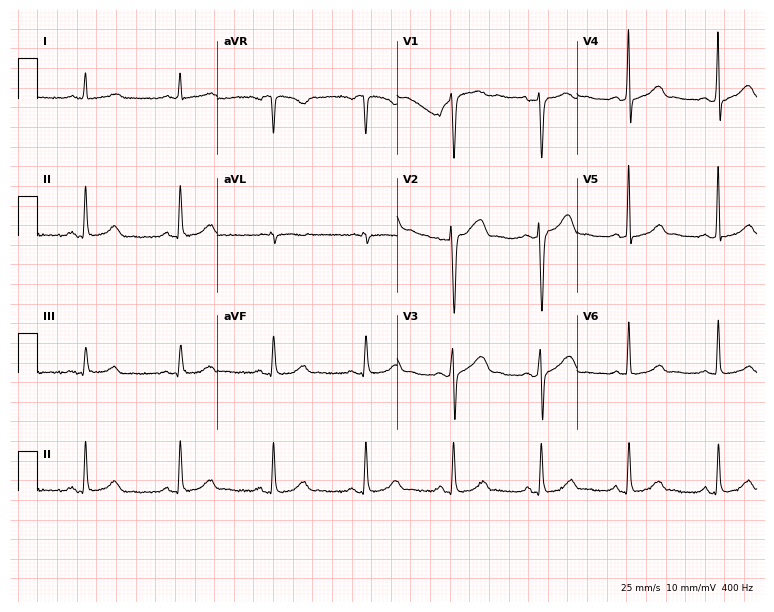
ECG — a female patient, 60 years old. Labelled as a normal ECG.